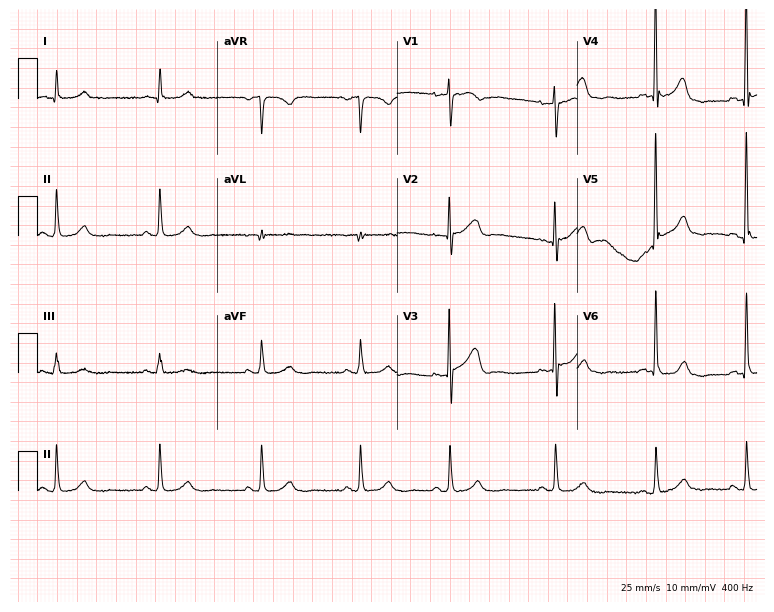
ECG — a woman, 84 years old. Screened for six findings — first-degree AV block, right bundle branch block, left bundle branch block, sinus bradycardia, atrial fibrillation, sinus tachycardia — none is recorded. Only these six findings were labelled.